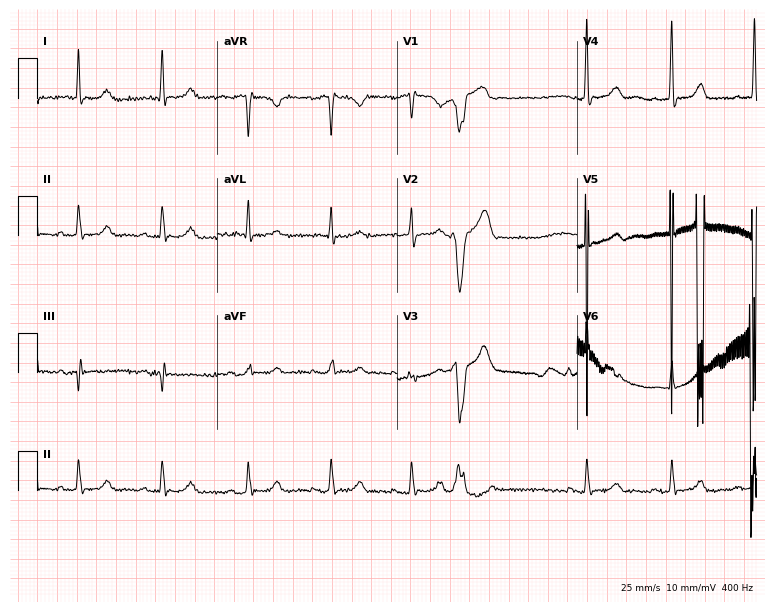
Resting 12-lead electrocardiogram. Patient: an 80-year-old woman. None of these six findings is recorded: first-degree AV block, right bundle branch block (RBBB), left bundle branch block (LBBB), sinus bradycardia, atrial fibrillation (AF), sinus tachycardia. Findings outside these six are not listed.